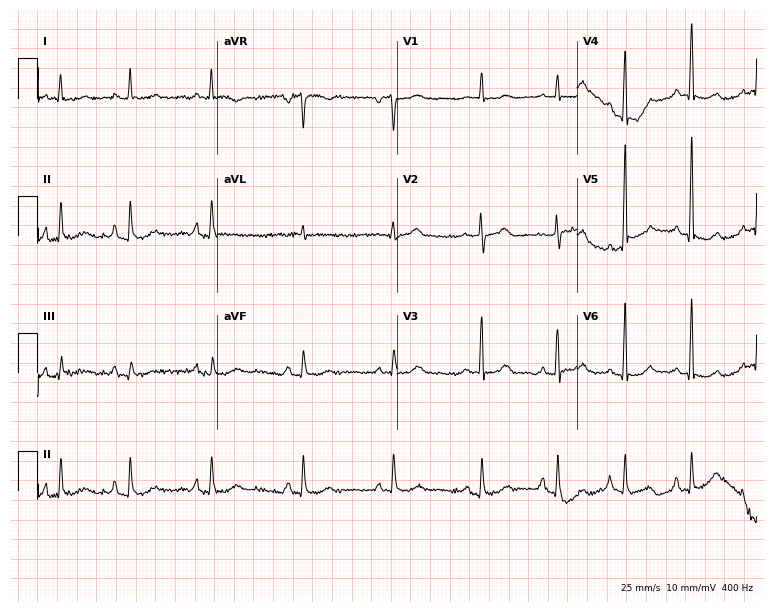
12-lead ECG from a 57-year-old man (7.3-second recording at 400 Hz). Recorded interpretation: within normal limits.